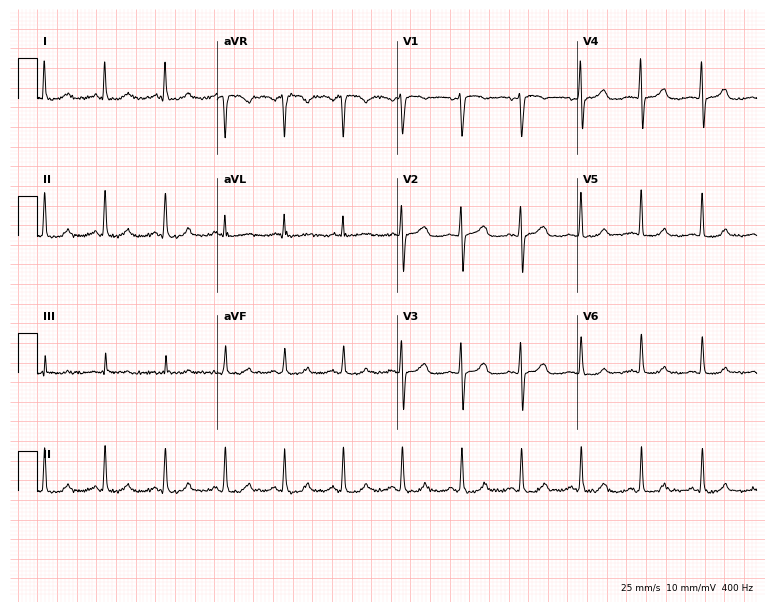
12-lead ECG (7.3-second recording at 400 Hz) from a 42-year-old woman. Labelled as a normal ECG.